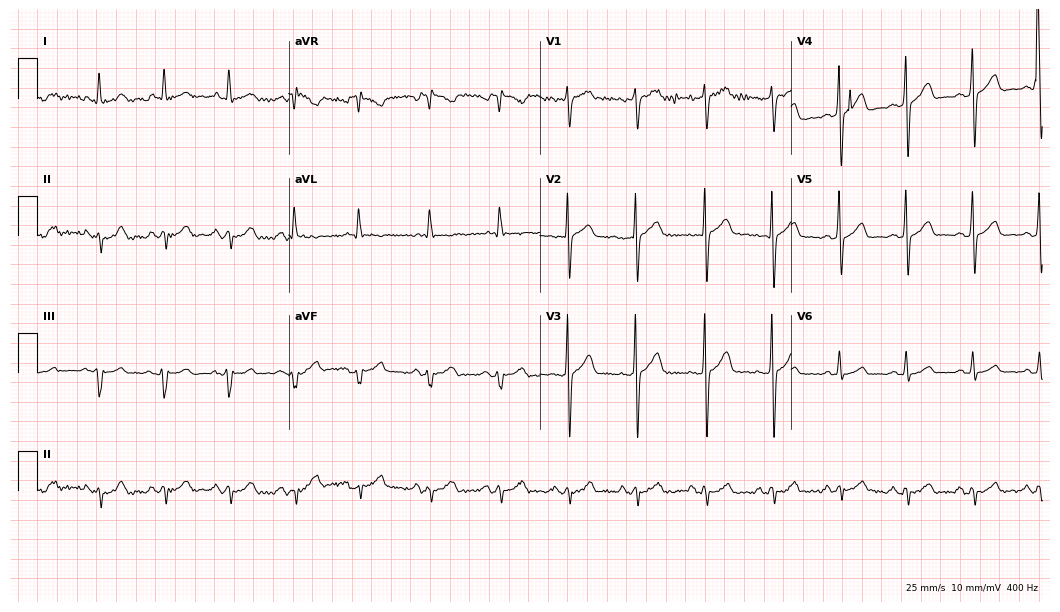
ECG — a 62-year-old male. Screened for six findings — first-degree AV block, right bundle branch block, left bundle branch block, sinus bradycardia, atrial fibrillation, sinus tachycardia — none is recorded. Only these six findings were labelled.